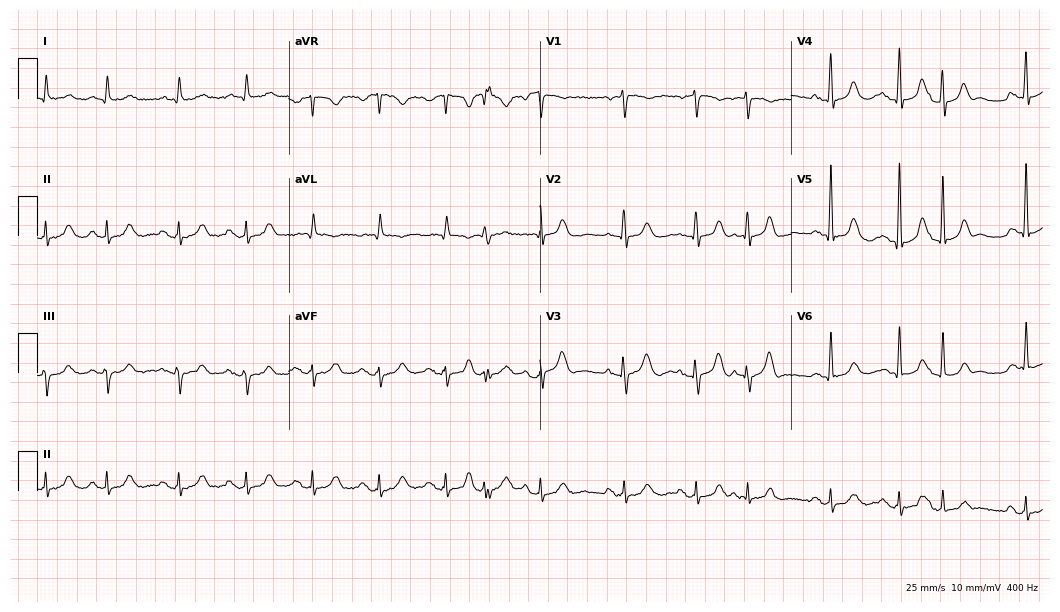
ECG (10.2-second recording at 400 Hz) — an 85-year-old woman. Screened for six findings — first-degree AV block, right bundle branch block (RBBB), left bundle branch block (LBBB), sinus bradycardia, atrial fibrillation (AF), sinus tachycardia — none is recorded.